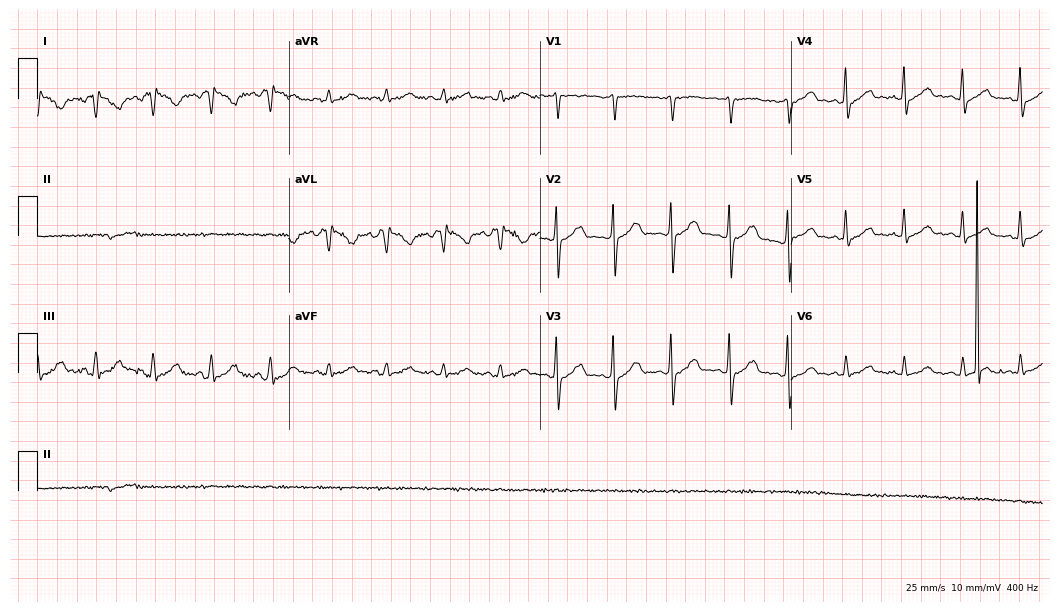
Resting 12-lead electrocardiogram (10.2-second recording at 400 Hz). Patient: a female, 48 years old. None of these six findings is recorded: first-degree AV block, right bundle branch block, left bundle branch block, sinus bradycardia, atrial fibrillation, sinus tachycardia.